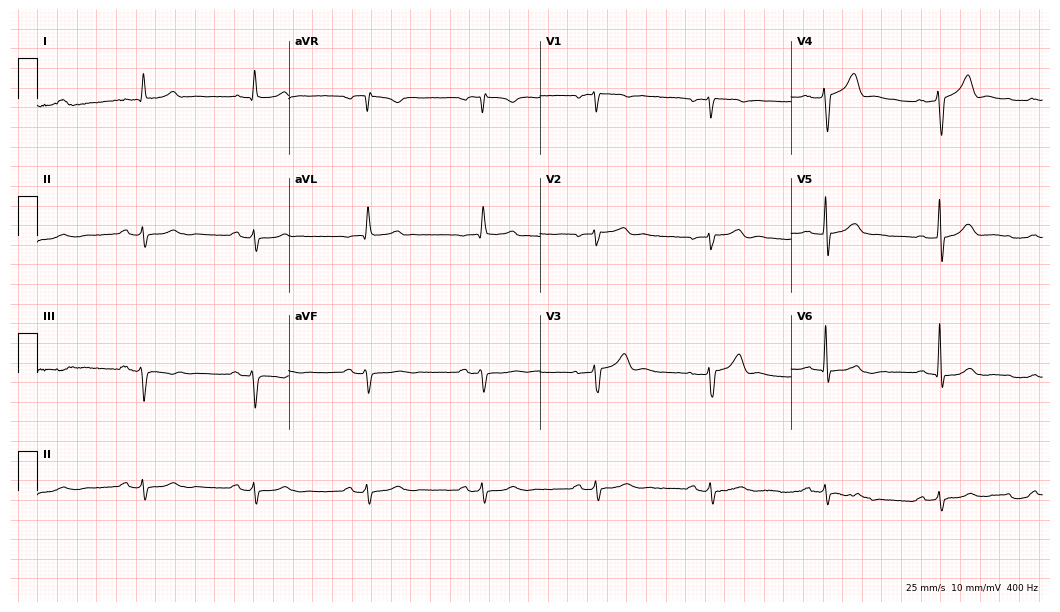
Standard 12-lead ECG recorded from a male patient, 69 years old (10.2-second recording at 400 Hz). None of these six findings is recorded: first-degree AV block, right bundle branch block (RBBB), left bundle branch block (LBBB), sinus bradycardia, atrial fibrillation (AF), sinus tachycardia.